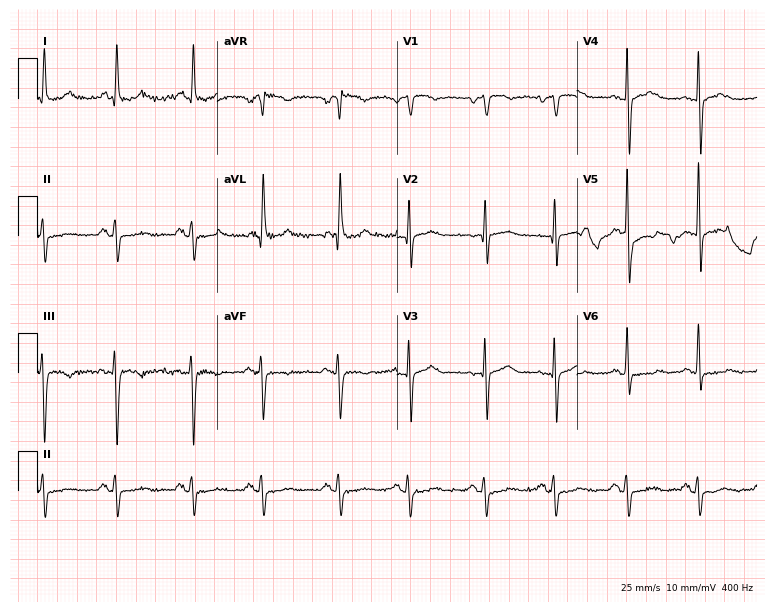
12-lead ECG from an 85-year-old female. No first-degree AV block, right bundle branch block, left bundle branch block, sinus bradycardia, atrial fibrillation or sinus tachycardia recorded for this tracing. Only these six findings were labelled.